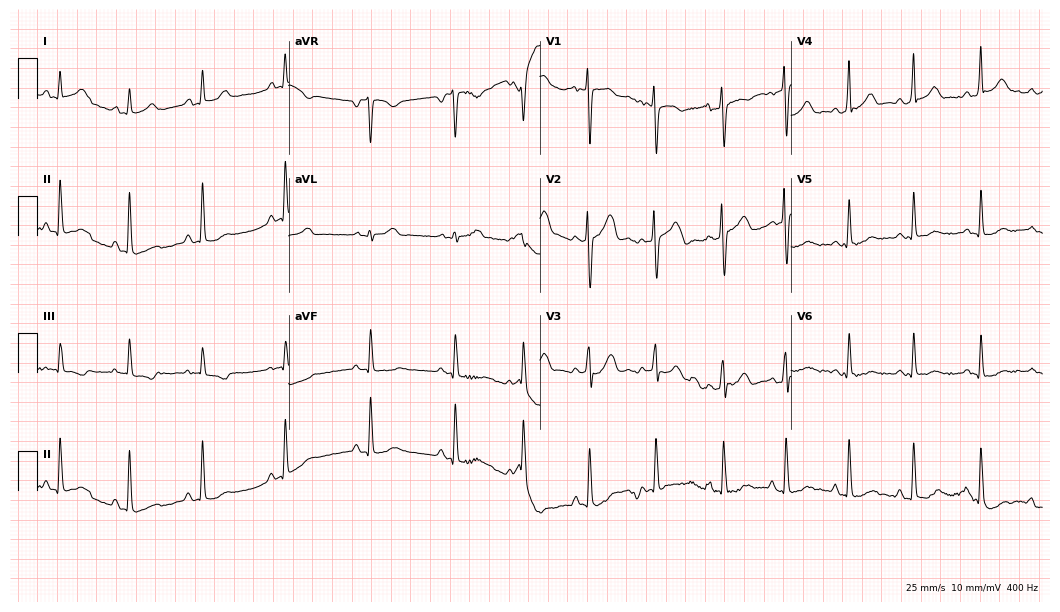
Standard 12-lead ECG recorded from a 24-year-old male patient. None of these six findings is recorded: first-degree AV block, right bundle branch block (RBBB), left bundle branch block (LBBB), sinus bradycardia, atrial fibrillation (AF), sinus tachycardia.